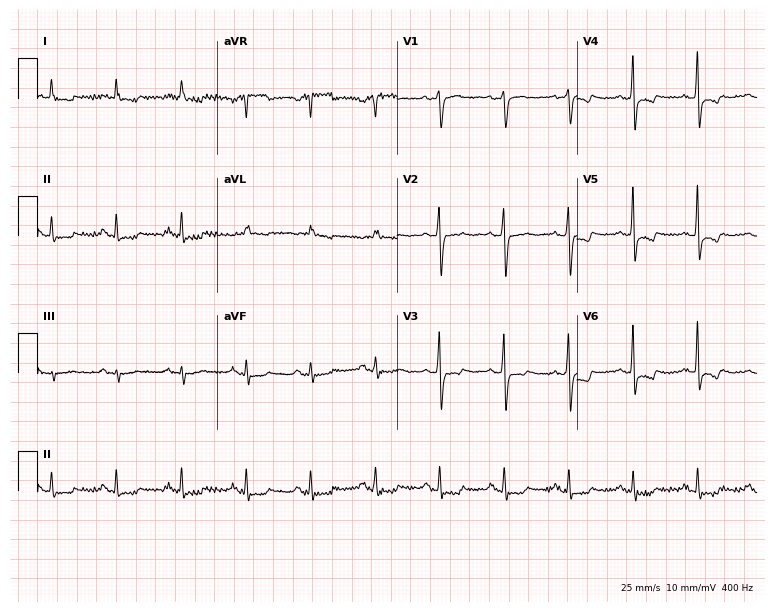
Resting 12-lead electrocardiogram (7.3-second recording at 400 Hz). Patient: a 75-year-old woman. None of these six findings is recorded: first-degree AV block, right bundle branch block, left bundle branch block, sinus bradycardia, atrial fibrillation, sinus tachycardia.